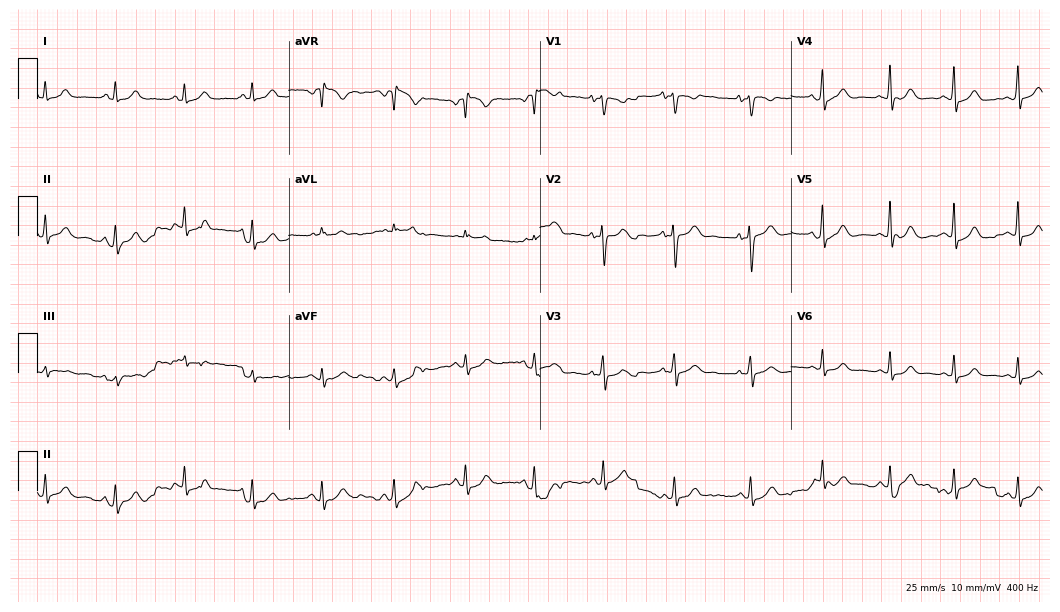
ECG — a 38-year-old female. Labelled as a normal ECG.